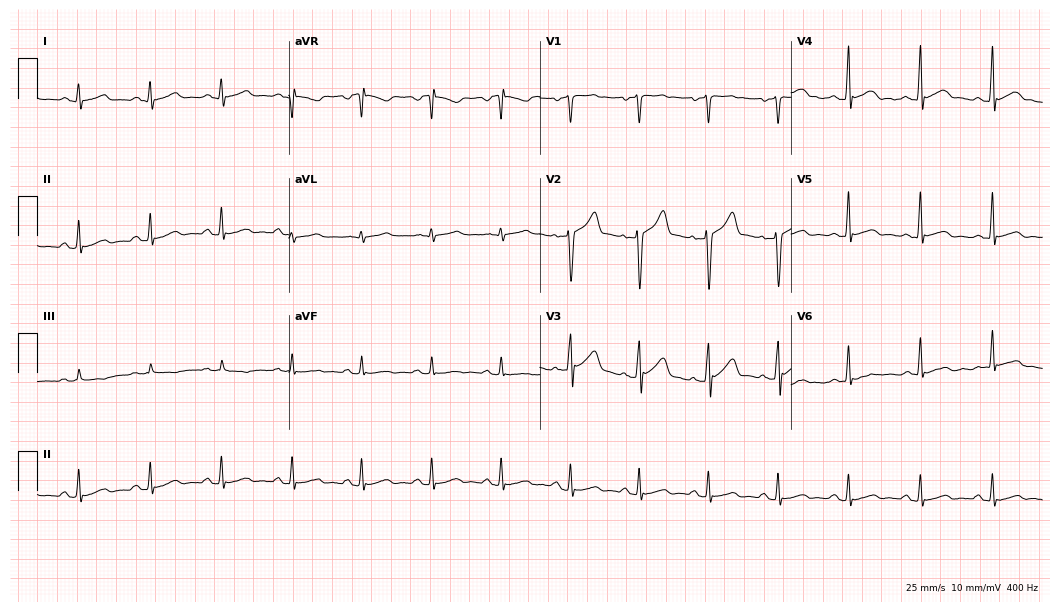
12-lead ECG (10.2-second recording at 400 Hz) from a 45-year-old male. Labelled as a normal ECG.